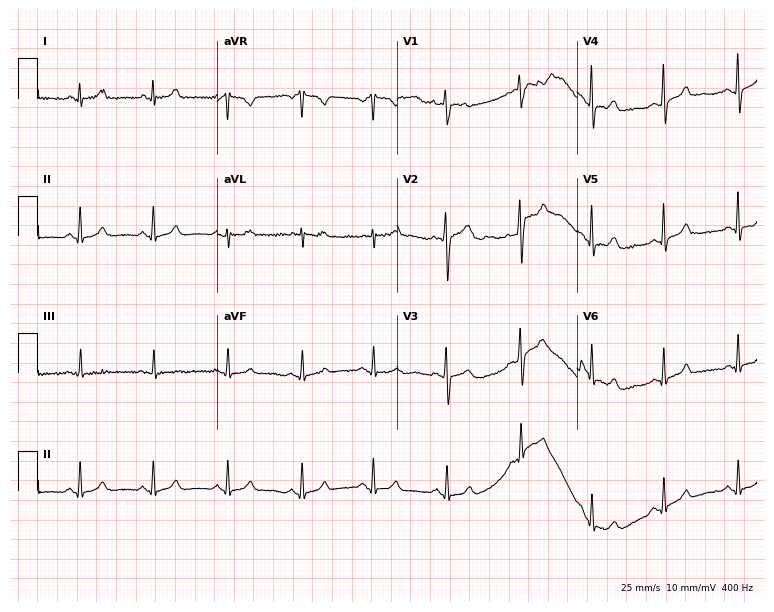
12-lead ECG from a male, 51 years old (7.3-second recording at 400 Hz). Recorded interpretation: within normal limits.